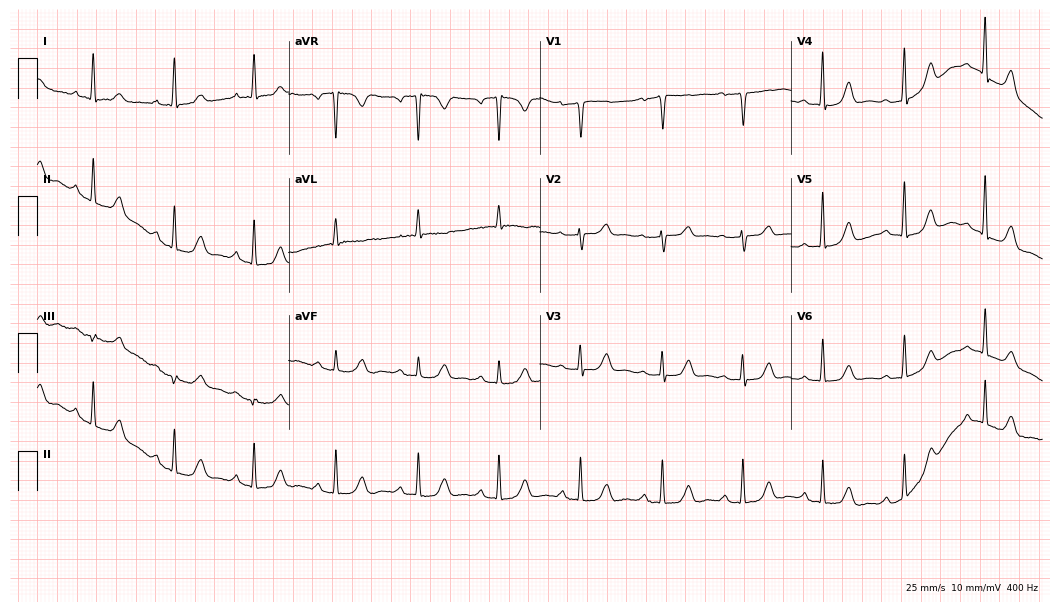
12-lead ECG from a female, 48 years old (10.2-second recording at 400 Hz). Shows first-degree AV block.